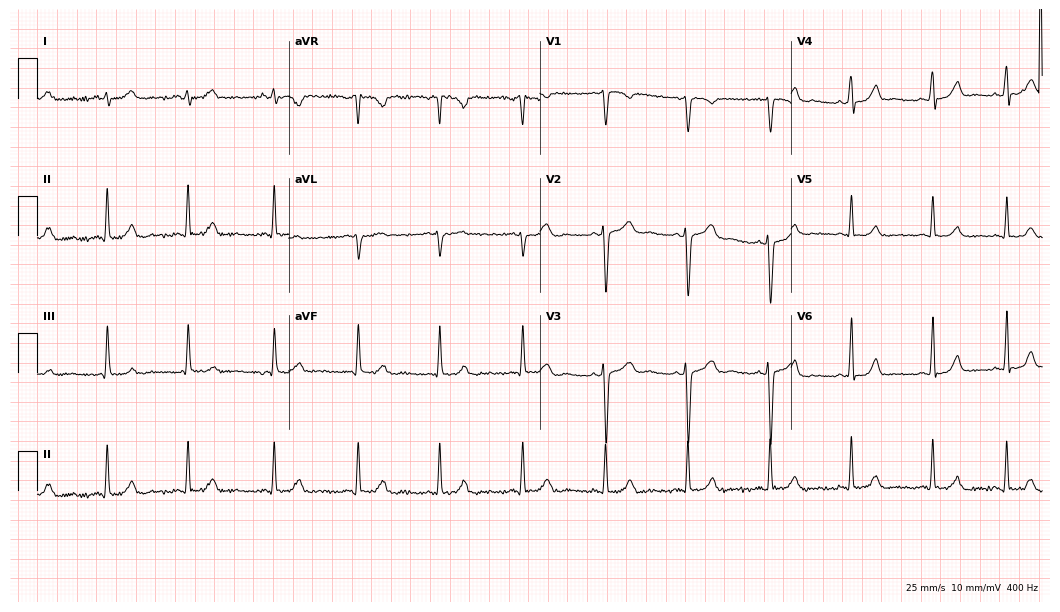
Electrocardiogram, a woman, 24 years old. Overall reading on record: normal ECG.